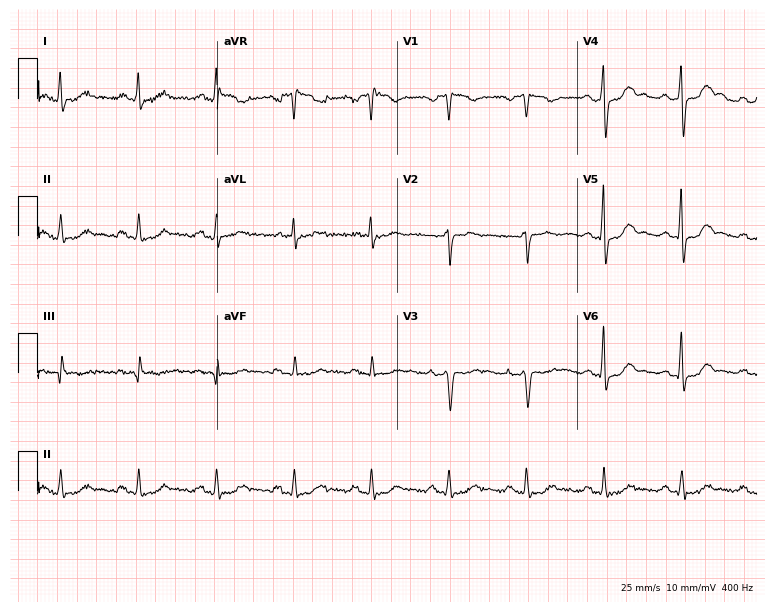
12-lead ECG from a man, 59 years old. Screened for six findings — first-degree AV block, right bundle branch block, left bundle branch block, sinus bradycardia, atrial fibrillation, sinus tachycardia — none is recorded.